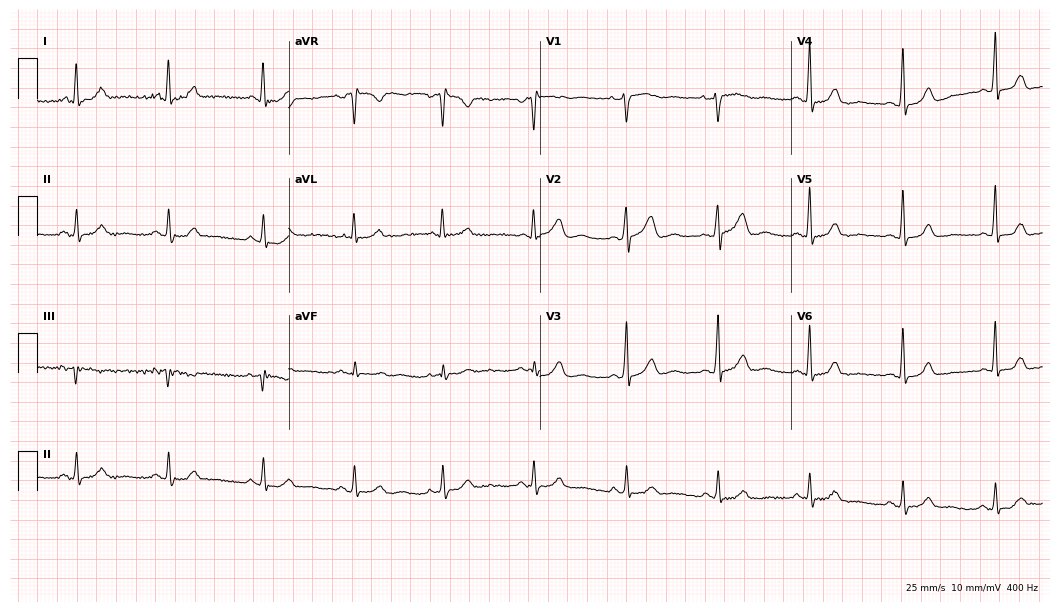
12-lead ECG (10.2-second recording at 400 Hz) from a female patient, 45 years old. Screened for six findings — first-degree AV block, right bundle branch block, left bundle branch block, sinus bradycardia, atrial fibrillation, sinus tachycardia — none is recorded.